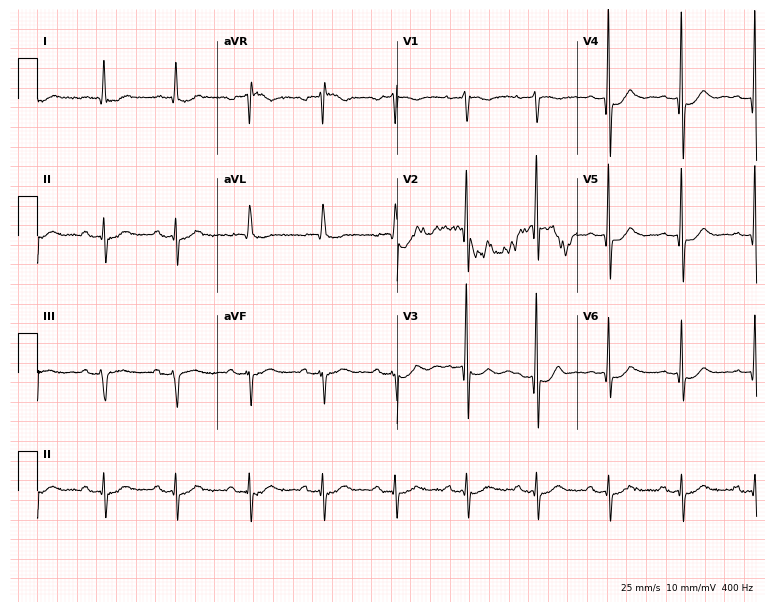
Resting 12-lead electrocardiogram. Patient: a male, 85 years old. None of these six findings is recorded: first-degree AV block, right bundle branch block, left bundle branch block, sinus bradycardia, atrial fibrillation, sinus tachycardia.